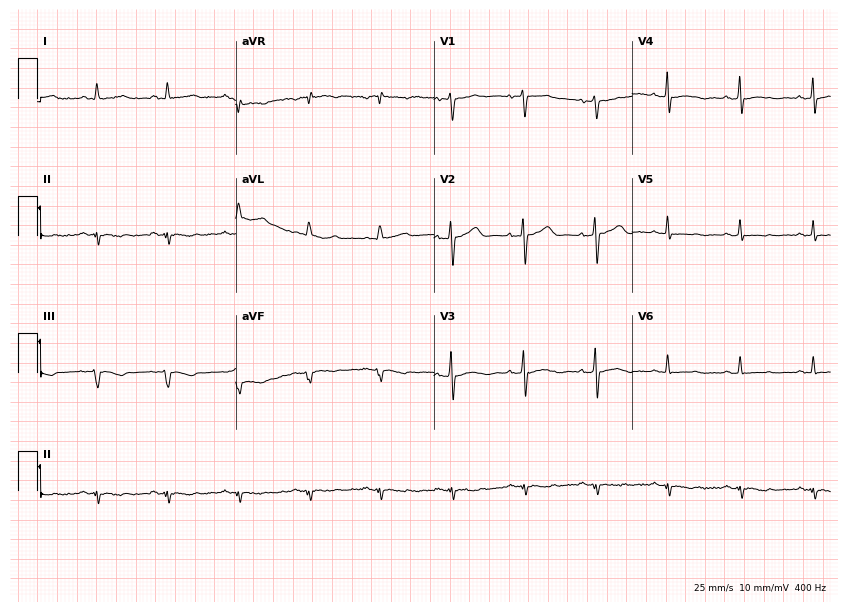
Electrocardiogram, a 56-year-old man. Of the six screened findings (first-degree AV block, right bundle branch block, left bundle branch block, sinus bradycardia, atrial fibrillation, sinus tachycardia), none is recorded.